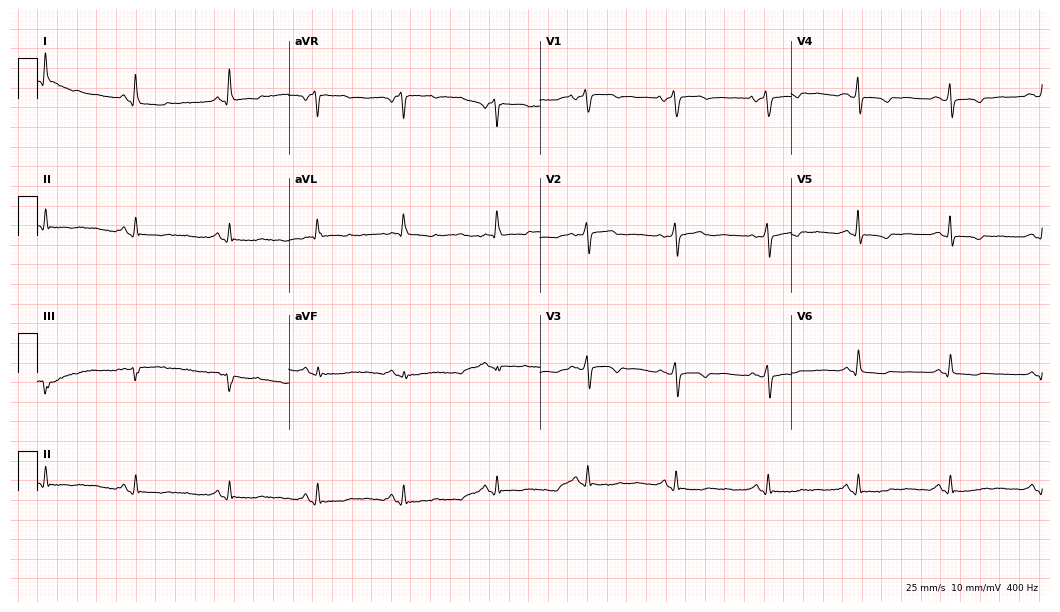
Resting 12-lead electrocardiogram. Patient: a 66-year-old woman. Read as a normal ECG.